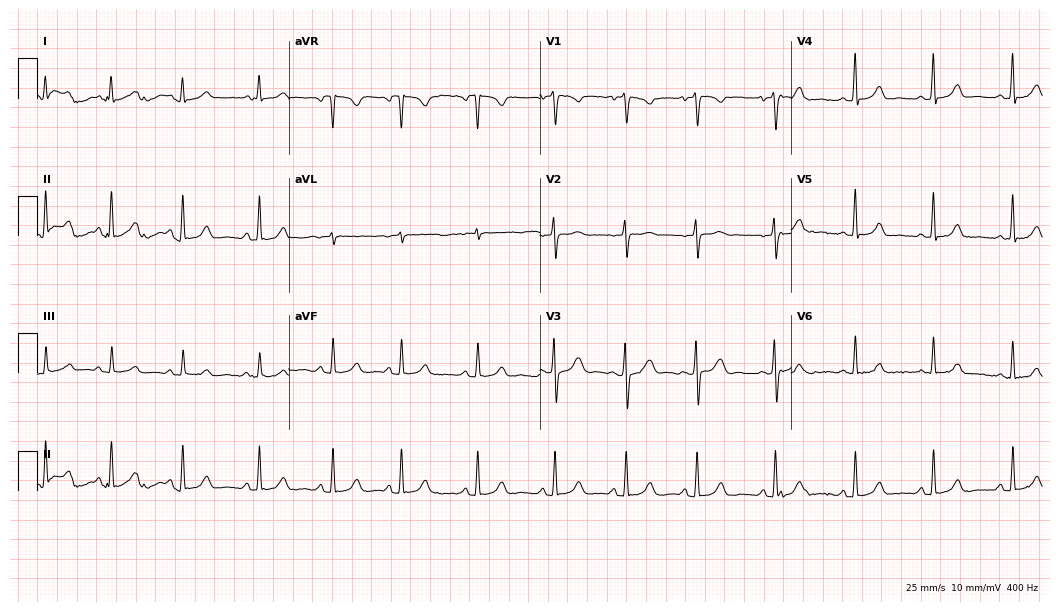
12-lead ECG (10.2-second recording at 400 Hz) from a 20-year-old female patient. Labelled as a normal ECG.